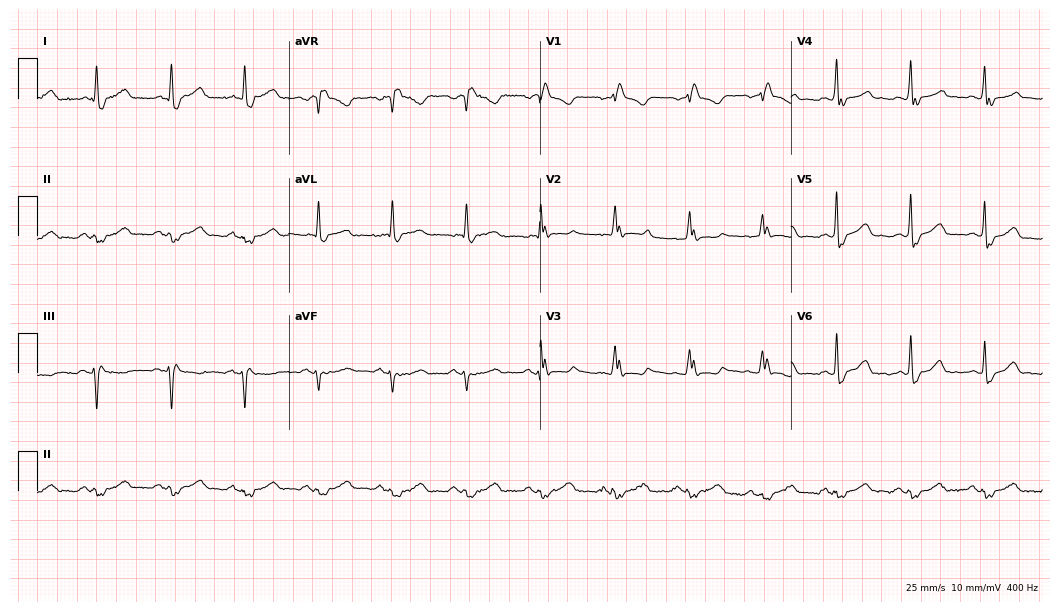
Standard 12-lead ECG recorded from a woman, 78 years old (10.2-second recording at 400 Hz). The tracing shows right bundle branch block.